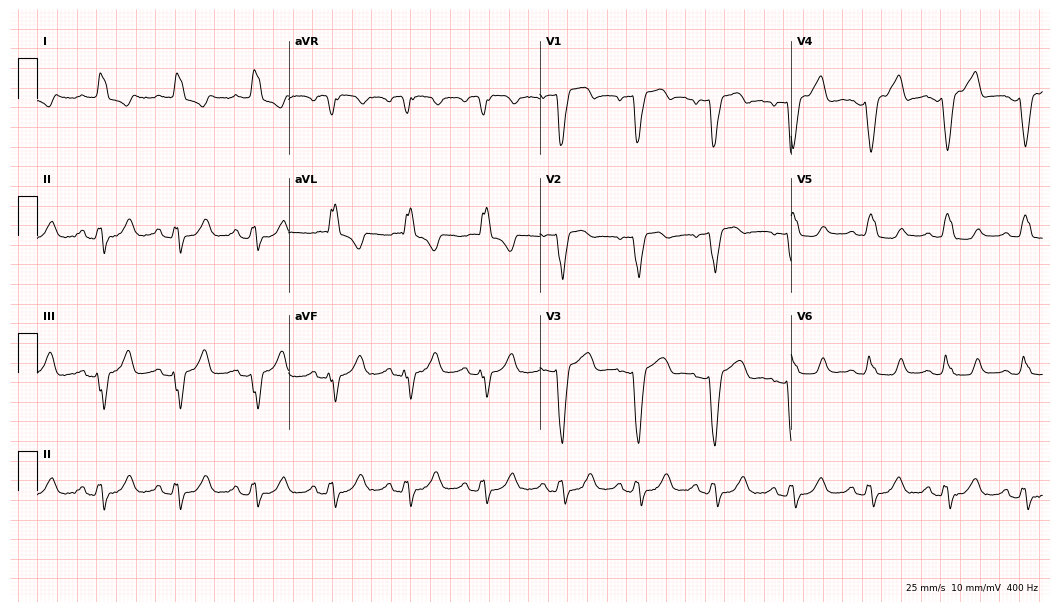
Standard 12-lead ECG recorded from a female, 69 years old (10.2-second recording at 400 Hz). None of these six findings is recorded: first-degree AV block, right bundle branch block (RBBB), left bundle branch block (LBBB), sinus bradycardia, atrial fibrillation (AF), sinus tachycardia.